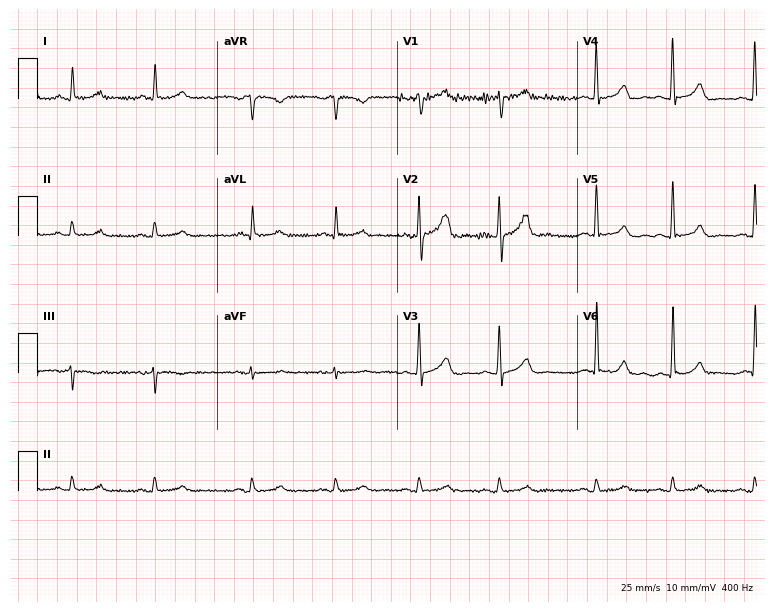
12-lead ECG from an 82-year-old male patient (7.3-second recording at 400 Hz). No first-degree AV block, right bundle branch block, left bundle branch block, sinus bradycardia, atrial fibrillation or sinus tachycardia recorded for this tracing.